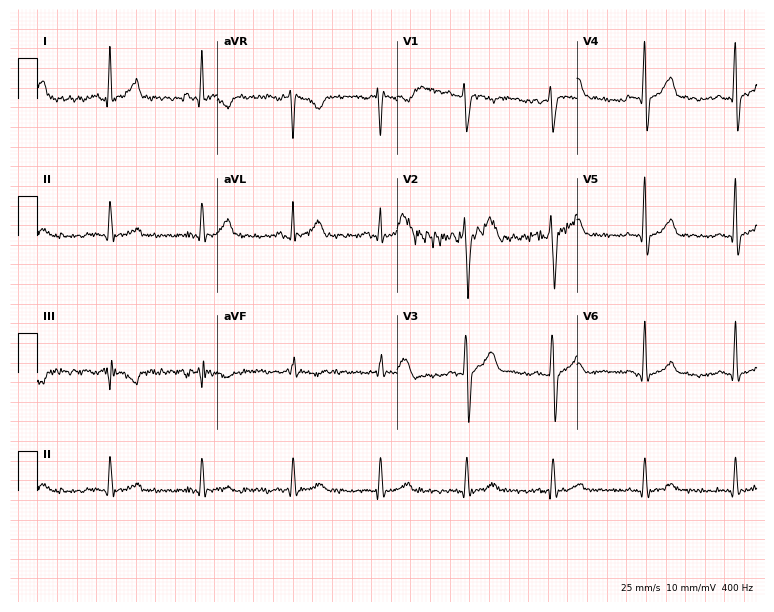
Resting 12-lead electrocardiogram. Patient: a 23-year-old man. None of these six findings is recorded: first-degree AV block, right bundle branch block, left bundle branch block, sinus bradycardia, atrial fibrillation, sinus tachycardia. Only these six findings were labelled.